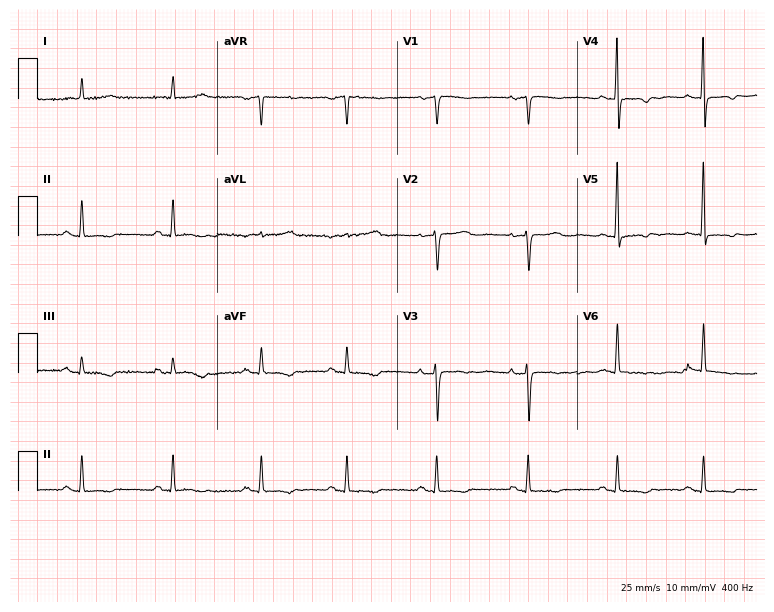
Resting 12-lead electrocardiogram (7.3-second recording at 400 Hz). Patient: an 84-year-old female. None of these six findings is recorded: first-degree AV block, right bundle branch block, left bundle branch block, sinus bradycardia, atrial fibrillation, sinus tachycardia. Only these six findings were labelled.